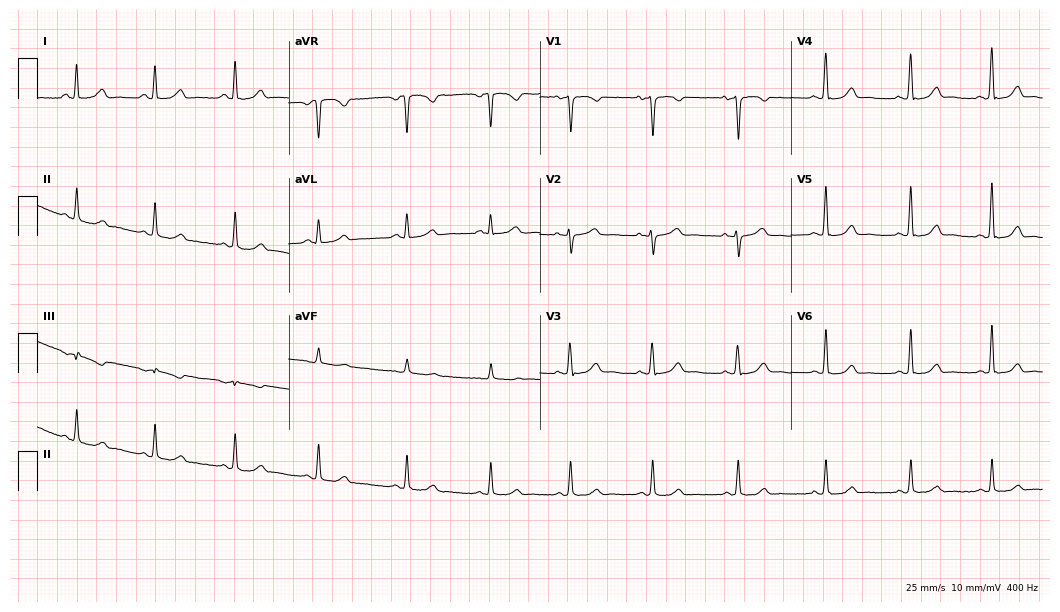
Electrocardiogram, a woman, 36 years old. Overall reading on record: normal ECG.